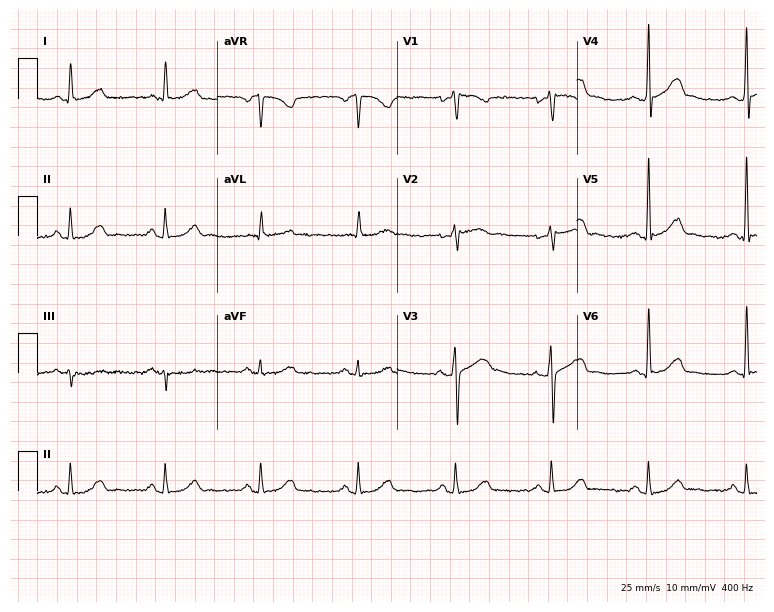
Electrocardiogram (7.3-second recording at 400 Hz), a 66-year-old man. Overall reading on record: normal ECG.